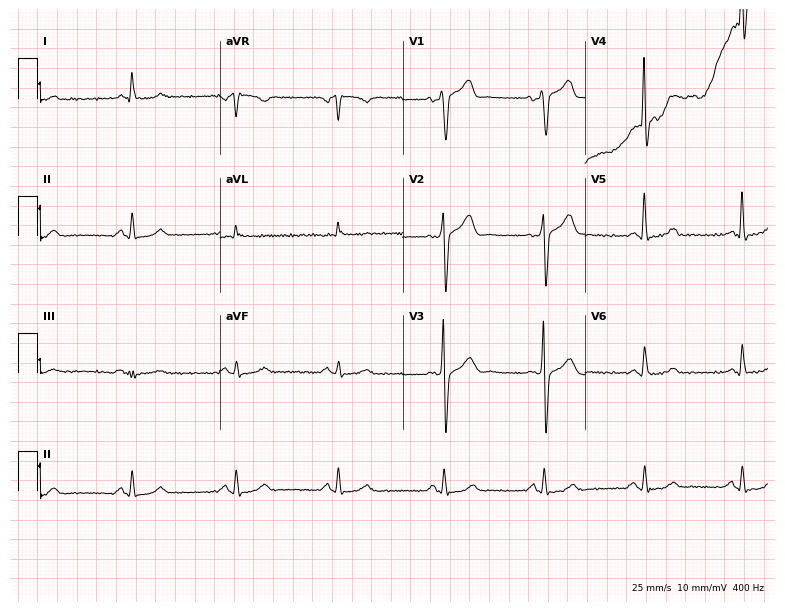
Resting 12-lead electrocardiogram. Patient: a 60-year-old male. None of these six findings is recorded: first-degree AV block, right bundle branch block, left bundle branch block, sinus bradycardia, atrial fibrillation, sinus tachycardia.